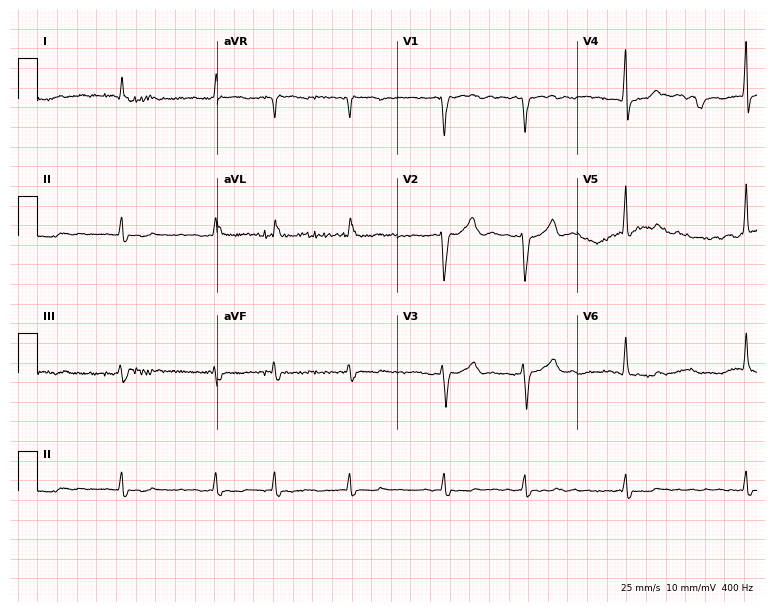
Electrocardiogram (7.3-second recording at 400 Hz), a man, 76 years old. Interpretation includes atrial fibrillation.